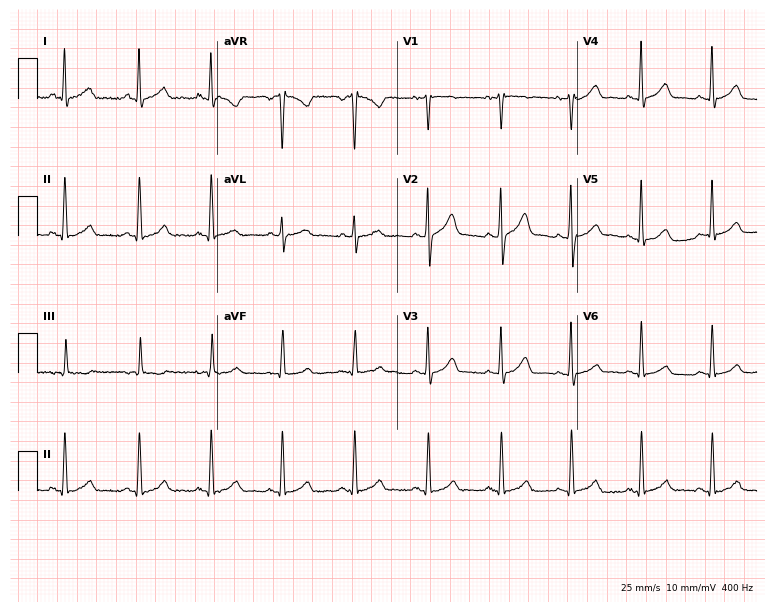
ECG (7.3-second recording at 400 Hz) — a man, 56 years old. Labelled as a normal ECG.